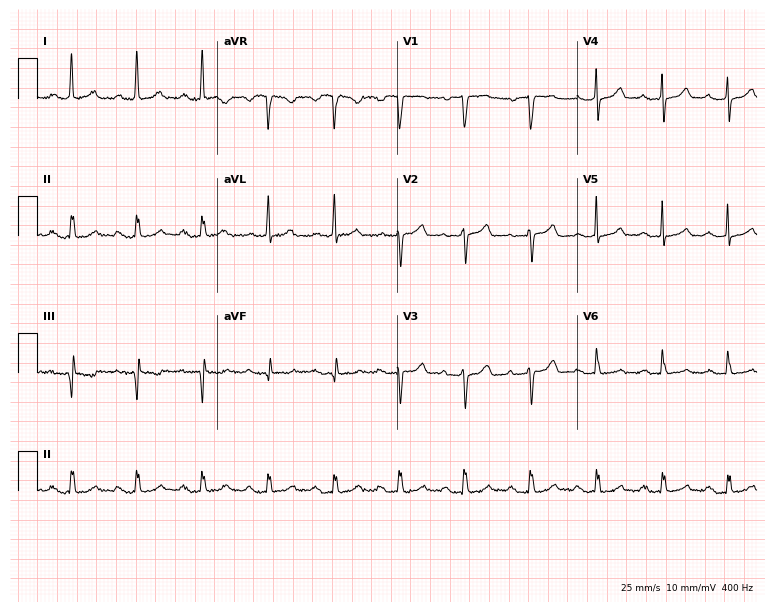
12-lead ECG from a female, 77 years old. Findings include first-degree AV block.